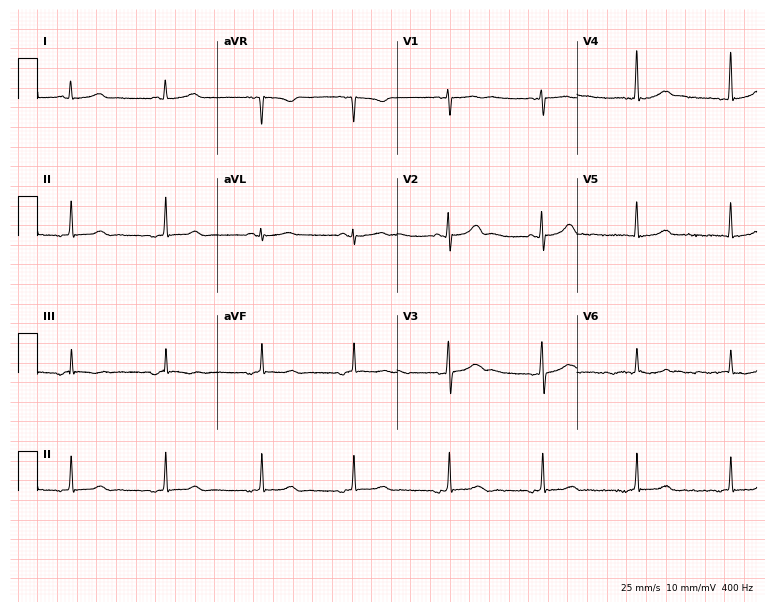
12-lead ECG from a 28-year-old female patient (7.3-second recording at 400 Hz). No first-degree AV block, right bundle branch block (RBBB), left bundle branch block (LBBB), sinus bradycardia, atrial fibrillation (AF) or sinus tachycardia recorded for this tracing. Only these six findings were labelled.